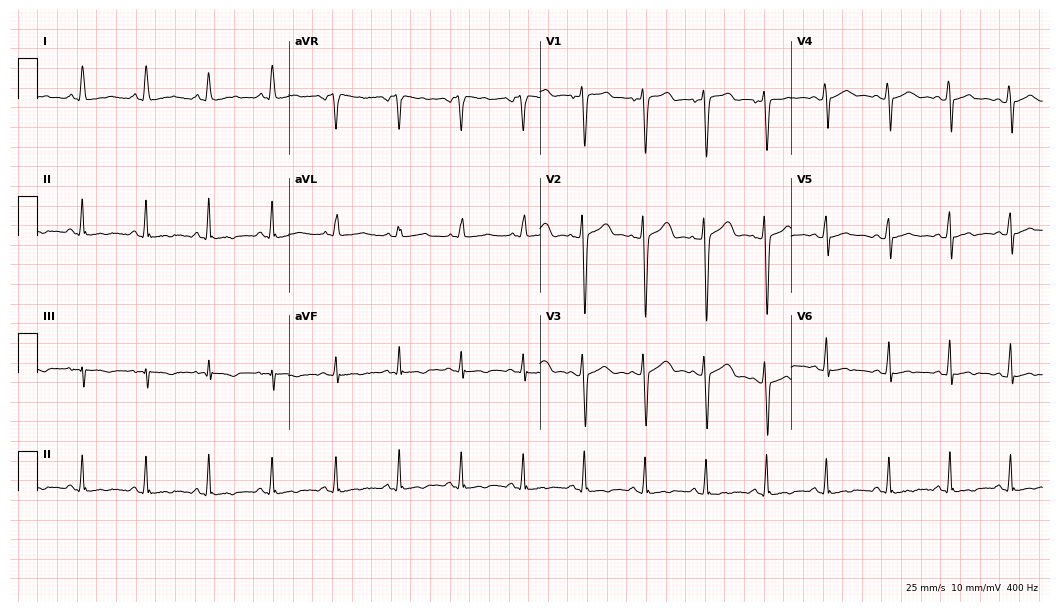
ECG — a 25-year-old man. Screened for six findings — first-degree AV block, right bundle branch block, left bundle branch block, sinus bradycardia, atrial fibrillation, sinus tachycardia — none is recorded.